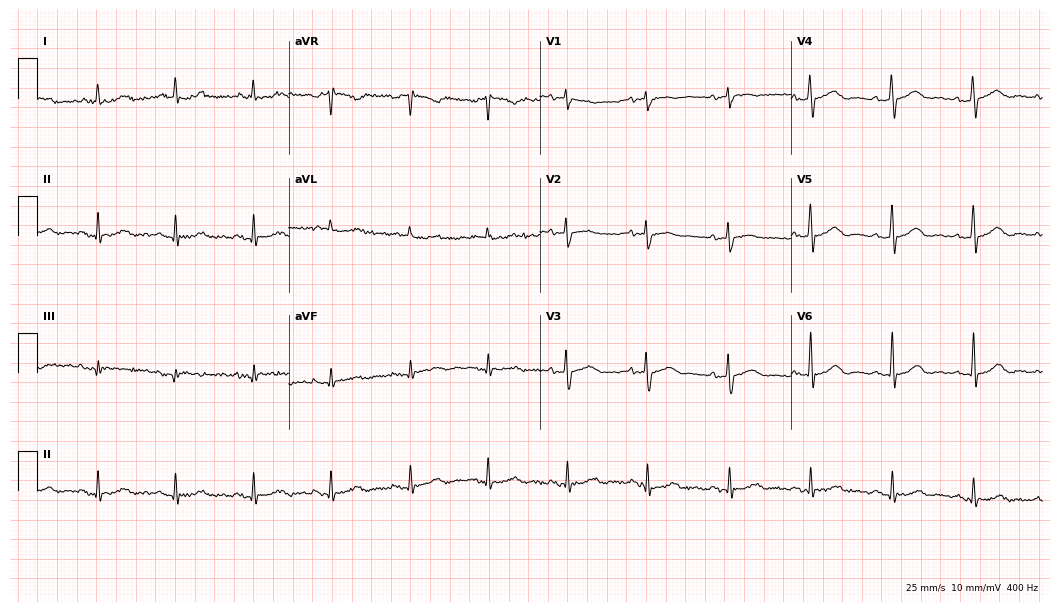
Electrocardiogram, an 83-year-old female. Overall reading on record: normal ECG.